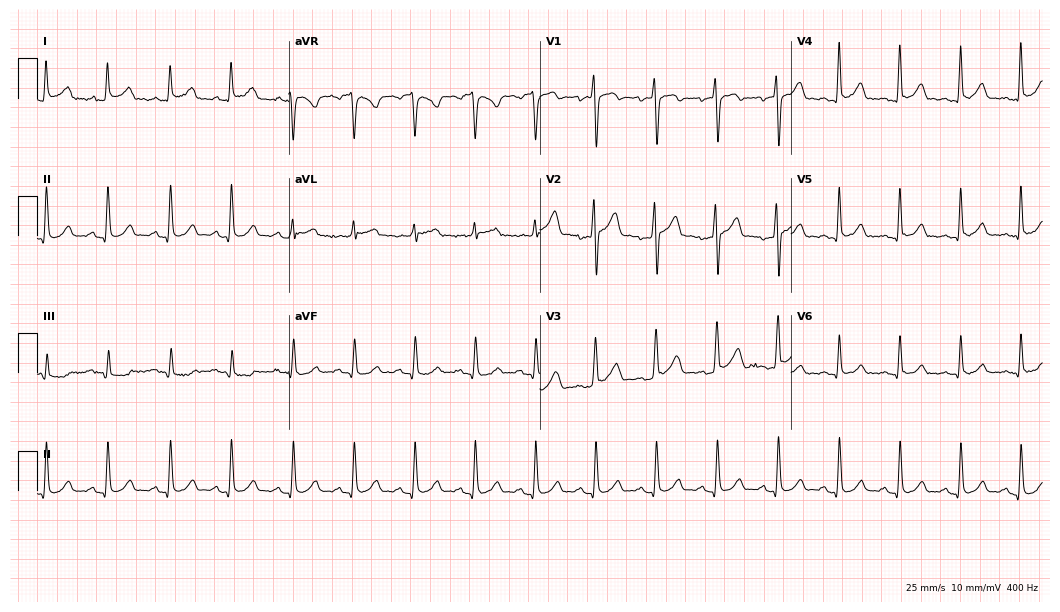
Resting 12-lead electrocardiogram. Patient: a 23-year-old male. Read as a normal ECG.